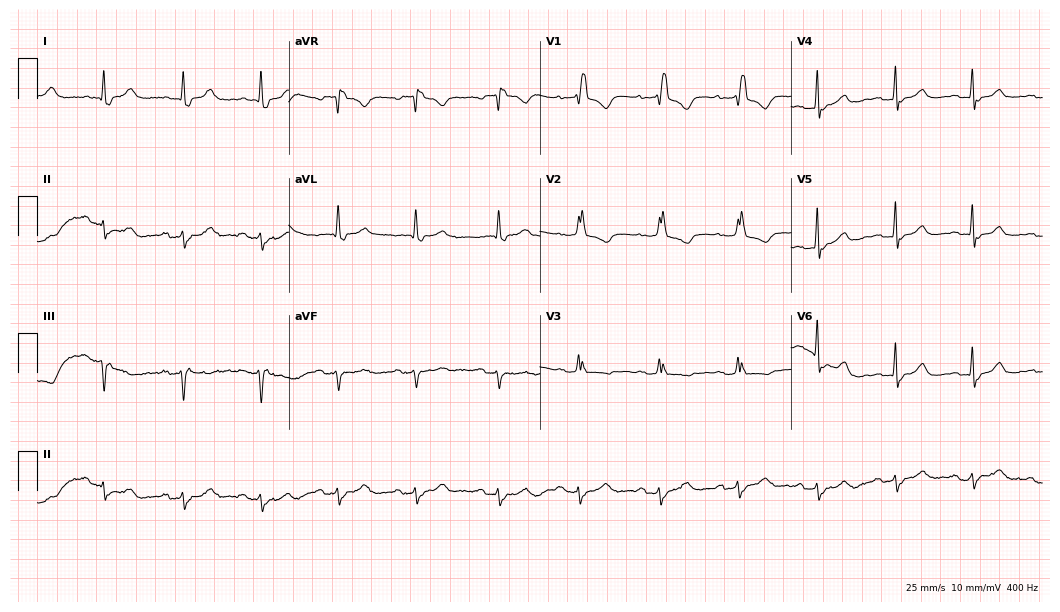
Electrocardiogram, a 77-year-old woman. Of the six screened findings (first-degree AV block, right bundle branch block (RBBB), left bundle branch block (LBBB), sinus bradycardia, atrial fibrillation (AF), sinus tachycardia), none is recorded.